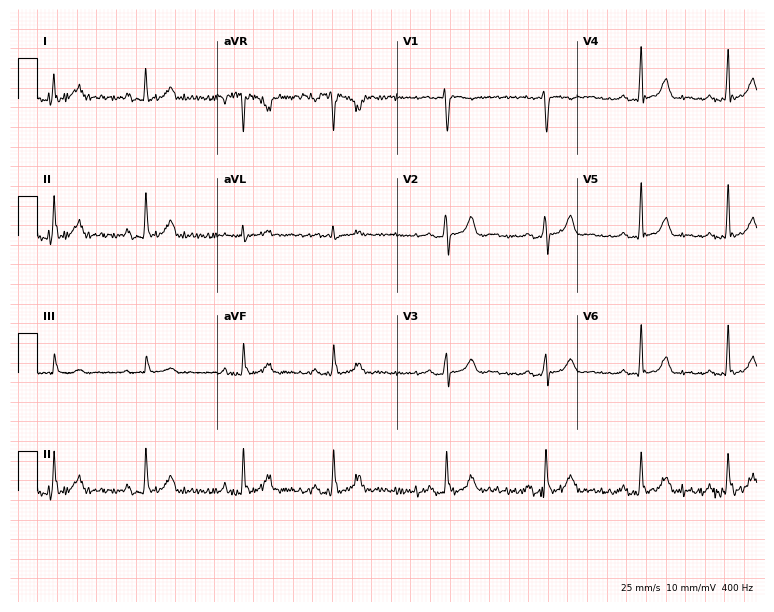
12-lead ECG from a 30-year-old female (7.3-second recording at 400 Hz). Recorded interpretation: within normal limits.